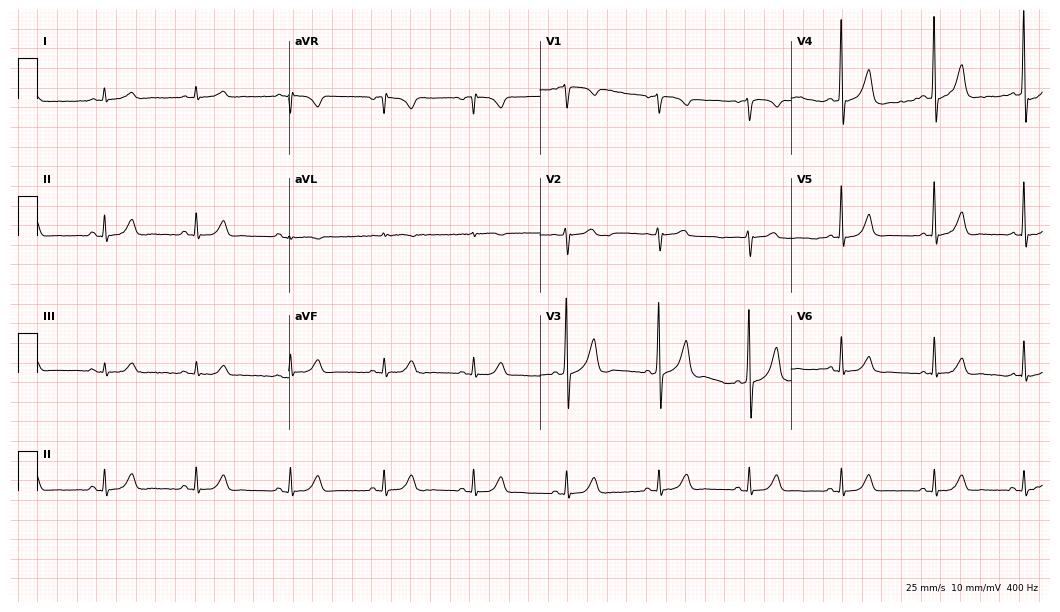
Resting 12-lead electrocardiogram. Patient: a man, 70 years old. None of these six findings is recorded: first-degree AV block, right bundle branch block, left bundle branch block, sinus bradycardia, atrial fibrillation, sinus tachycardia.